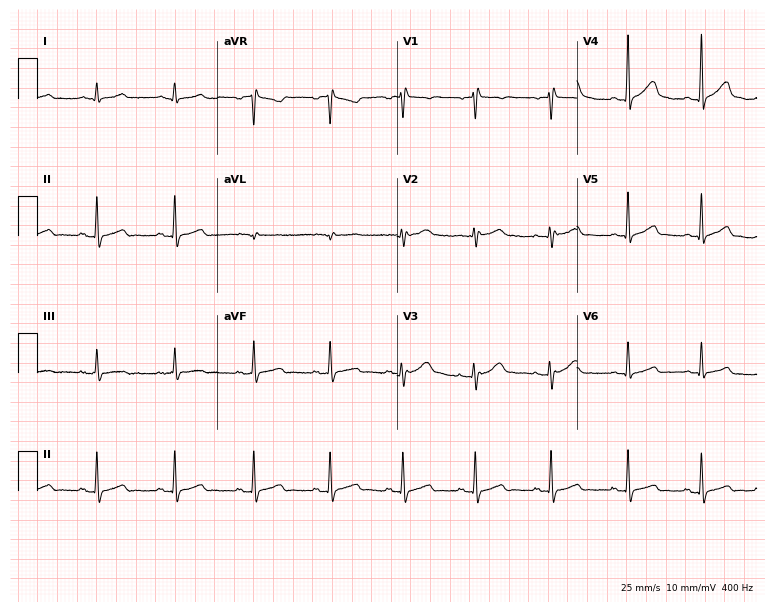
12-lead ECG from a male patient, 29 years old. Labelled as a normal ECG.